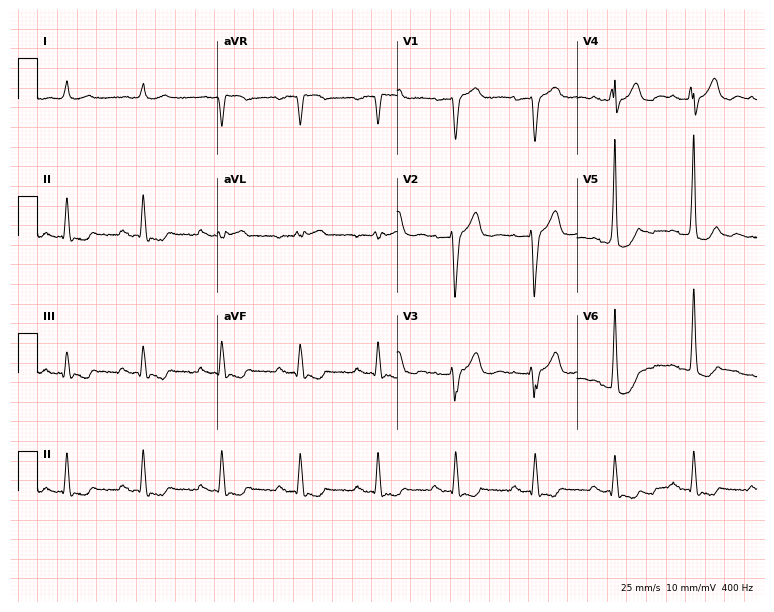
Resting 12-lead electrocardiogram (7.3-second recording at 400 Hz). Patient: a male, 77 years old. None of these six findings is recorded: first-degree AV block, right bundle branch block, left bundle branch block, sinus bradycardia, atrial fibrillation, sinus tachycardia.